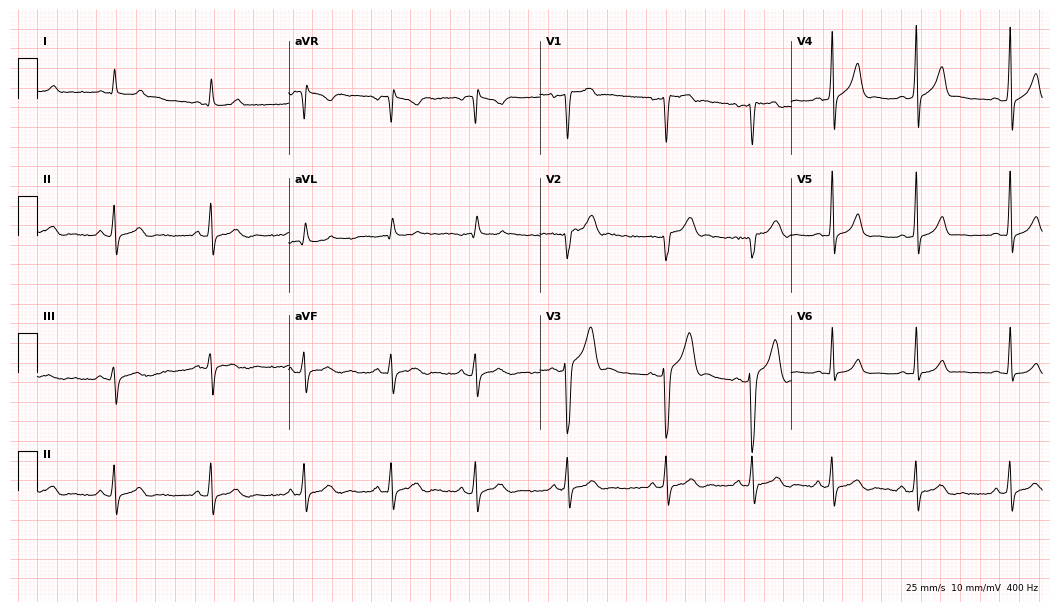
12-lead ECG from a male patient, 26 years old. Screened for six findings — first-degree AV block, right bundle branch block, left bundle branch block, sinus bradycardia, atrial fibrillation, sinus tachycardia — none is recorded. Other findings, if any, are not listed.